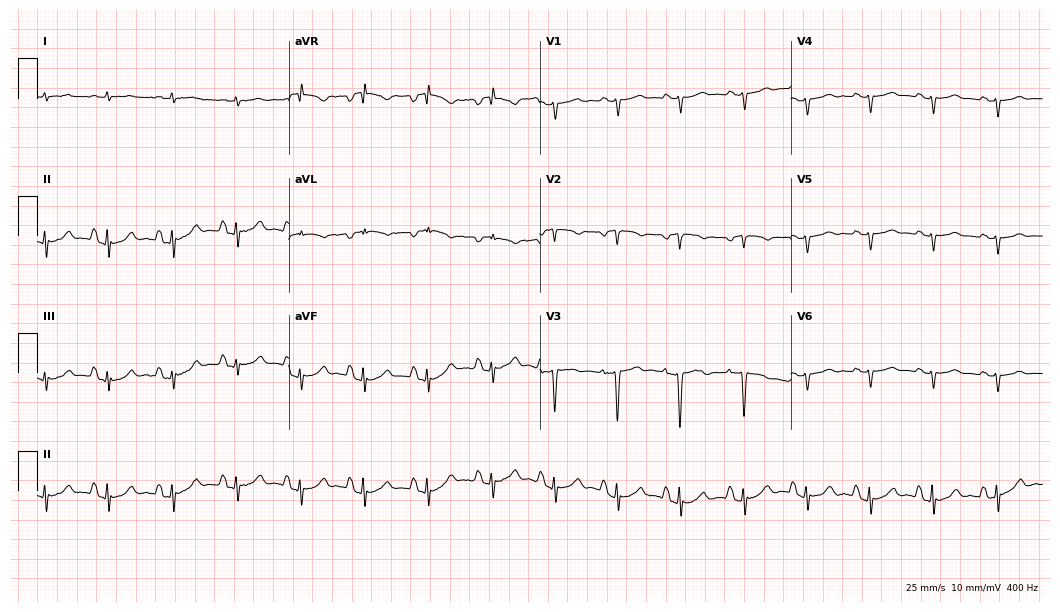
Electrocardiogram, a 65-year-old man. Of the six screened findings (first-degree AV block, right bundle branch block (RBBB), left bundle branch block (LBBB), sinus bradycardia, atrial fibrillation (AF), sinus tachycardia), none is recorded. Findings outside these six are not listed.